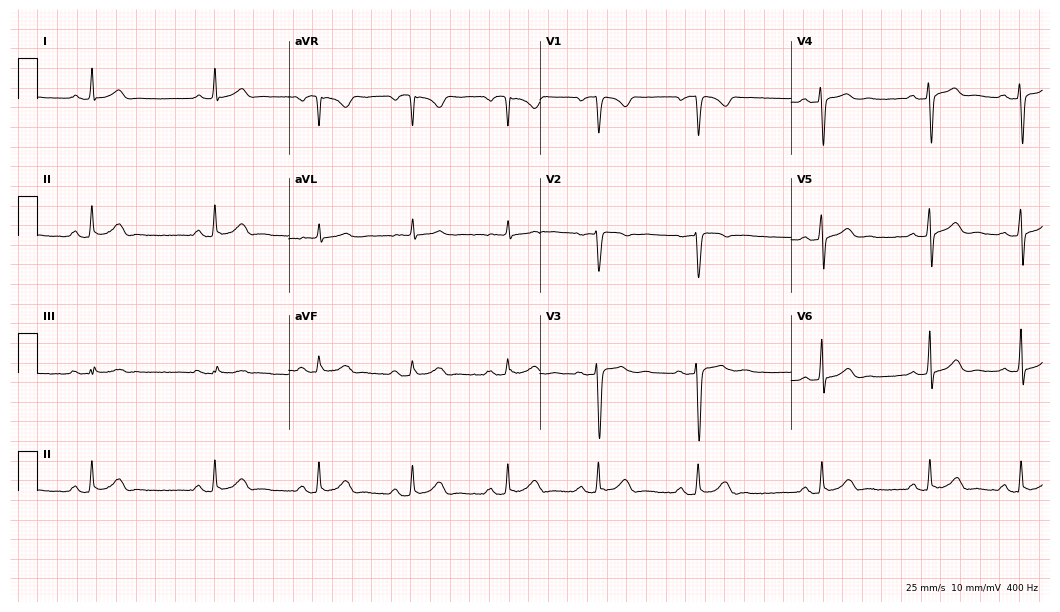
Resting 12-lead electrocardiogram (10.2-second recording at 400 Hz). Patient: a 34-year-old woman. None of these six findings is recorded: first-degree AV block, right bundle branch block, left bundle branch block, sinus bradycardia, atrial fibrillation, sinus tachycardia. Findings outside these six are not listed.